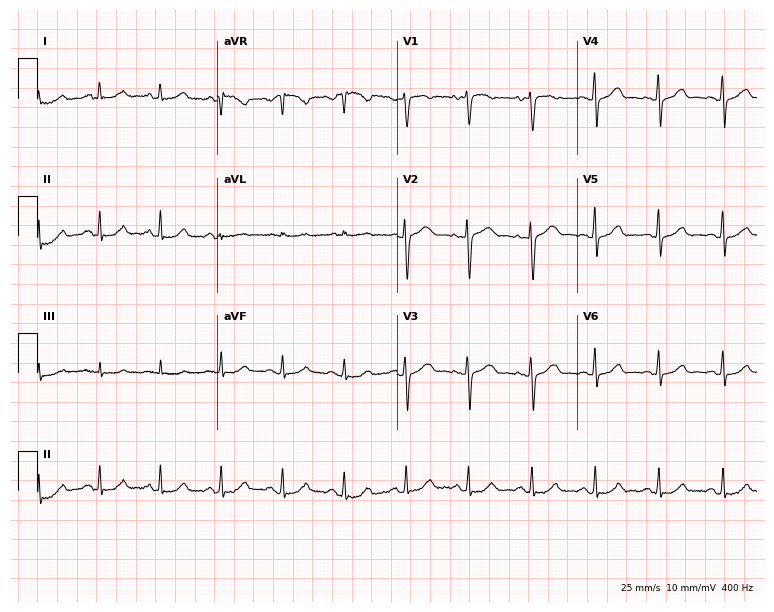
Standard 12-lead ECG recorded from a 54-year-old female patient. Read as a normal ECG.